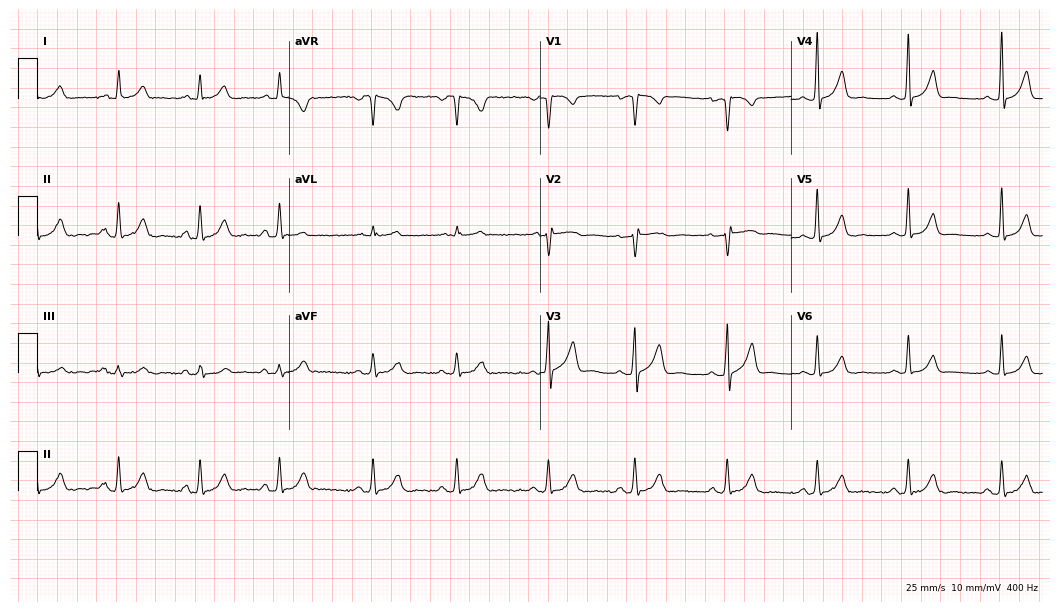
Electrocardiogram (10.2-second recording at 400 Hz), a woman, 28 years old. Of the six screened findings (first-degree AV block, right bundle branch block (RBBB), left bundle branch block (LBBB), sinus bradycardia, atrial fibrillation (AF), sinus tachycardia), none is recorded.